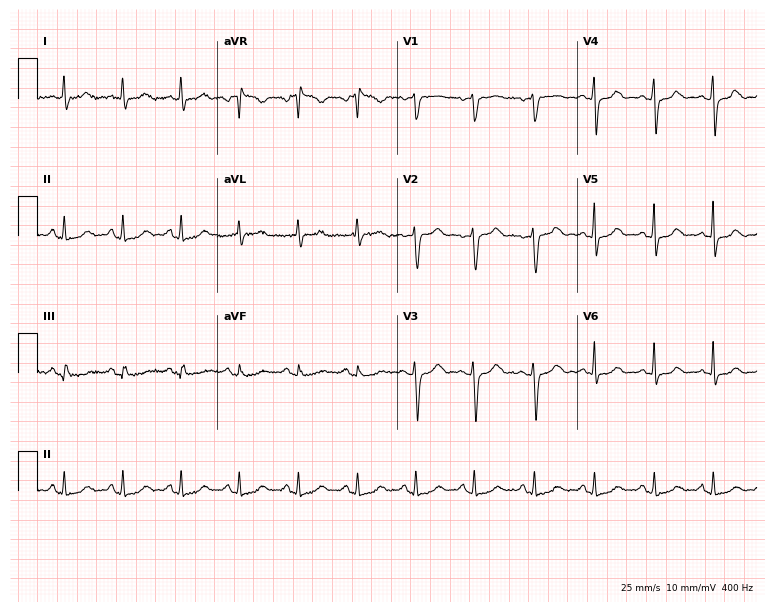
ECG — a woman, 45 years old. Screened for six findings — first-degree AV block, right bundle branch block (RBBB), left bundle branch block (LBBB), sinus bradycardia, atrial fibrillation (AF), sinus tachycardia — none is recorded.